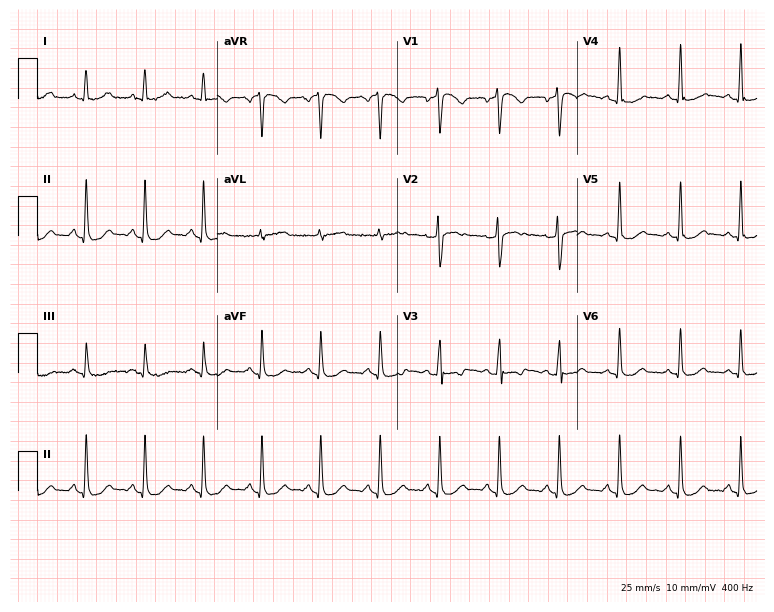
Electrocardiogram (7.3-second recording at 400 Hz), a man, 52 years old. Of the six screened findings (first-degree AV block, right bundle branch block (RBBB), left bundle branch block (LBBB), sinus bradycardia, atrial fibrillation (AF), sinus tachycardia), none is recorded. Only these six findings were labelled.